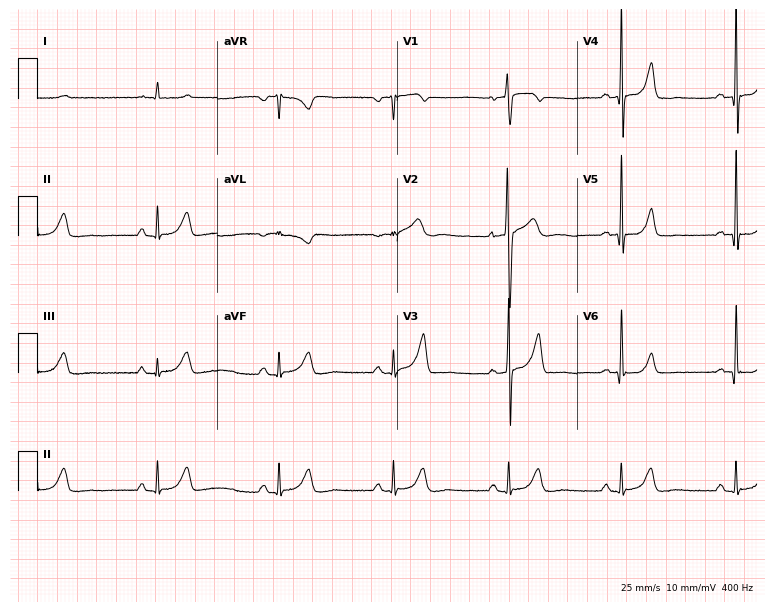
Resting 12-lead electrocardiogram (7.3-second recording at 400 Hz). Patient: a 47-year-old male. The tracing shows sinus bradycardia (a sinus rate of 50 beats per minute or less).